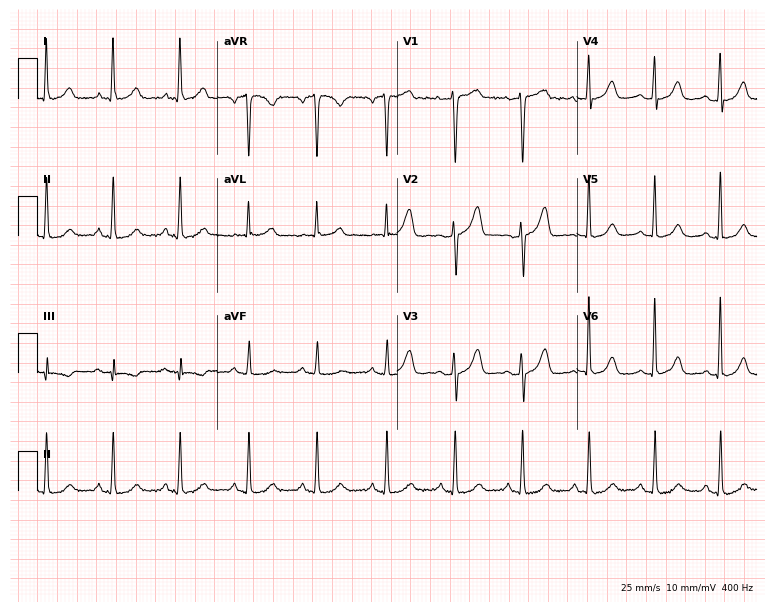
ECG — a female patient, 40 years old. Labelled as a normal ECG.